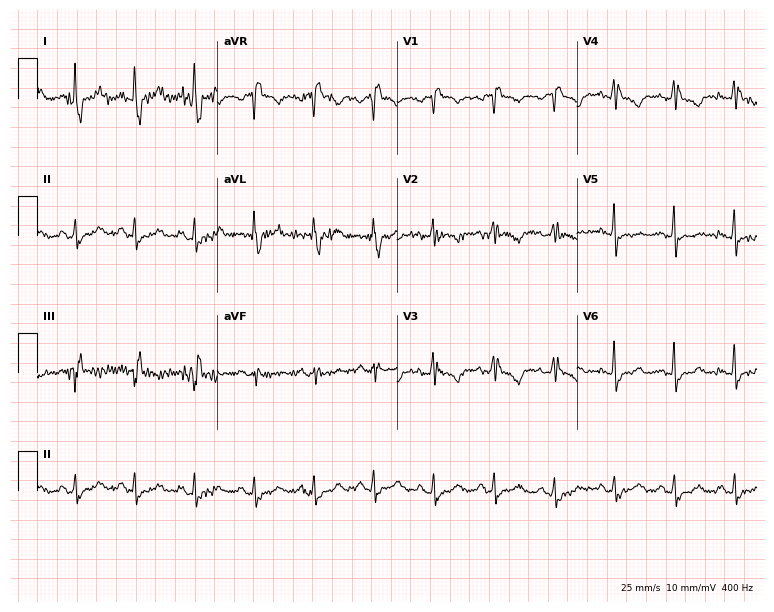
Standard 12-lead ECG recorded from a 67-year-old woman (7.3-second recording at 400 Hz). The tracing shows right bundle branch block.